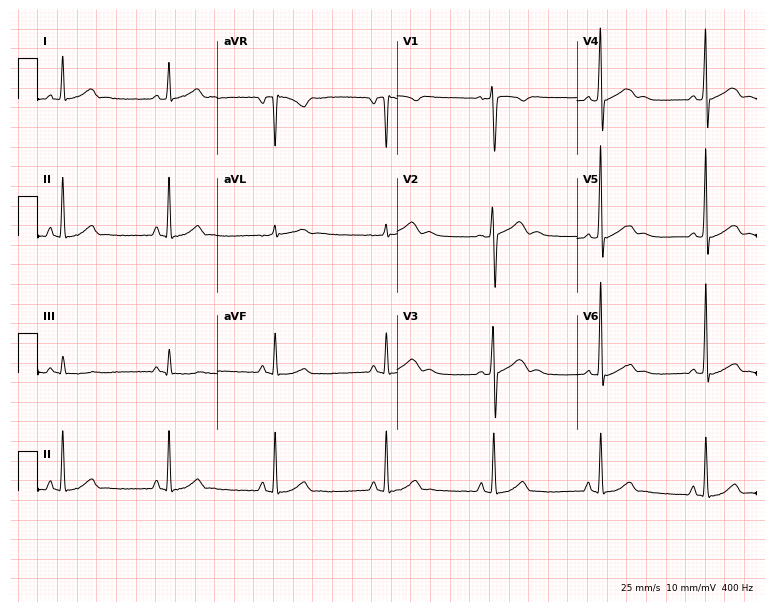
12-lead ECG (7.3-second recording at 400 Hz) from a 35-year-old male patient. Screened for six findings — first-degree AV block, right bundle branch block, left bundle branch block, sinus bradycardia, atrial fibrillation, sinus tachycardia — none is recorded. Other findings, if any, are not listed.